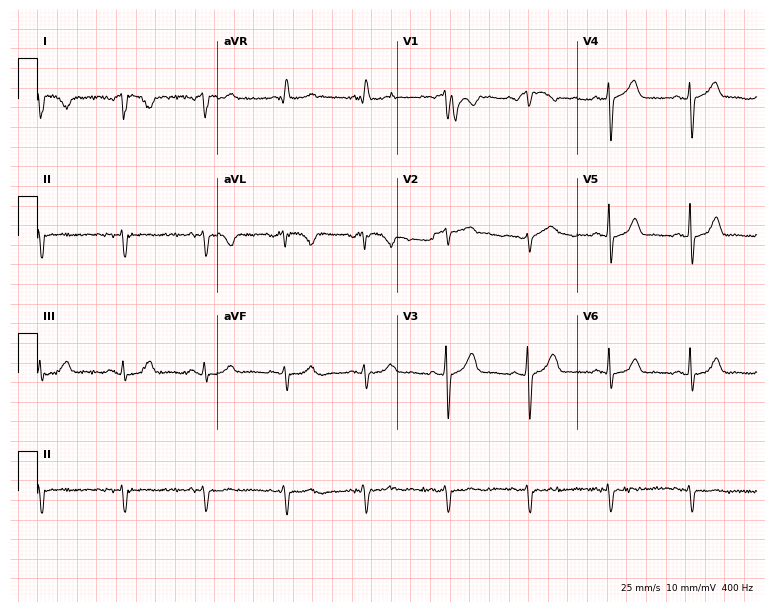
12-lead ECG (7.3-second recording at 400 Hz) from a 63-year-old female. Screened for six findings — first-degree AV block, right bundle branch block, left bundle branch block, sinus bradycardia, atrial fibrillation, sinus tachycardia — none is recorded.